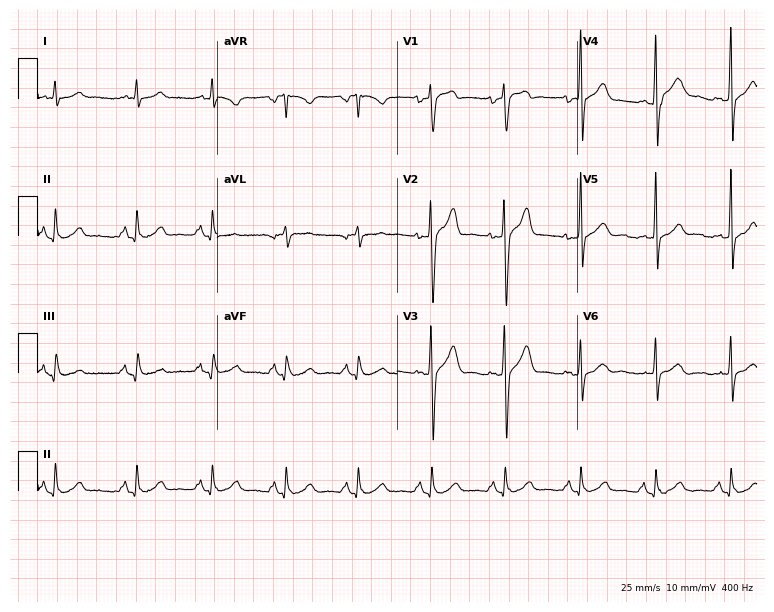
Resting 12-lead electrocardiogram (7.3-second recording at 400 Hz). Patient: a 44-year-old man. None of these six findings is recorded: first-degree AV block, right bundle branch block (RBBB), left bundle branch block (LBBB), sinus bradycardia, atrial fibrillation (AF), sinus tachycardia. Findings outside these six are not listed.